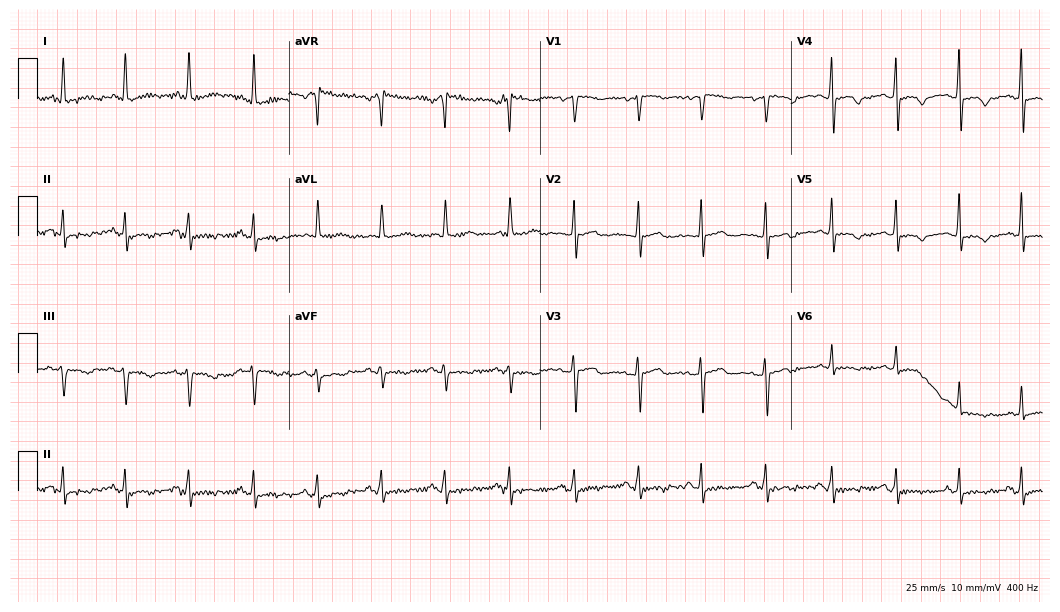
ECG — a female patient, 56 years old. Screened for six findings — first-degree AV block, right bundle branch block, left bundle branch block, sinus bradycardia, atrial fibrillation, sinus tachycardia — none is recorded. Other findings, if any, are not listed.